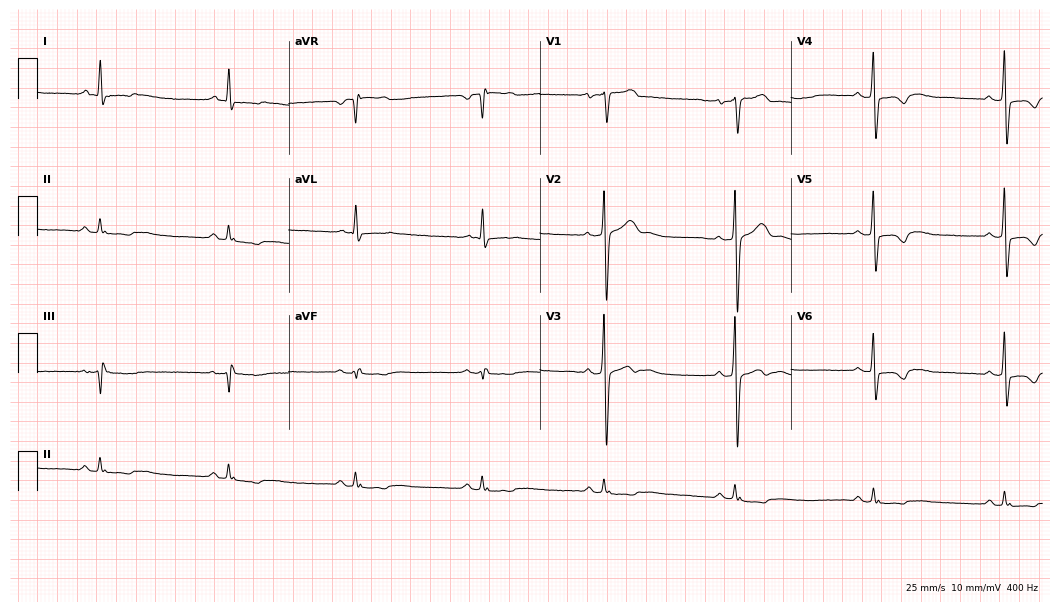
12-lead ECG (10.2-second recording at 400 Hz) from a man, 45 years old. Findings include sinus bradycardia (a sinus rate of 50 beats per minute or less).